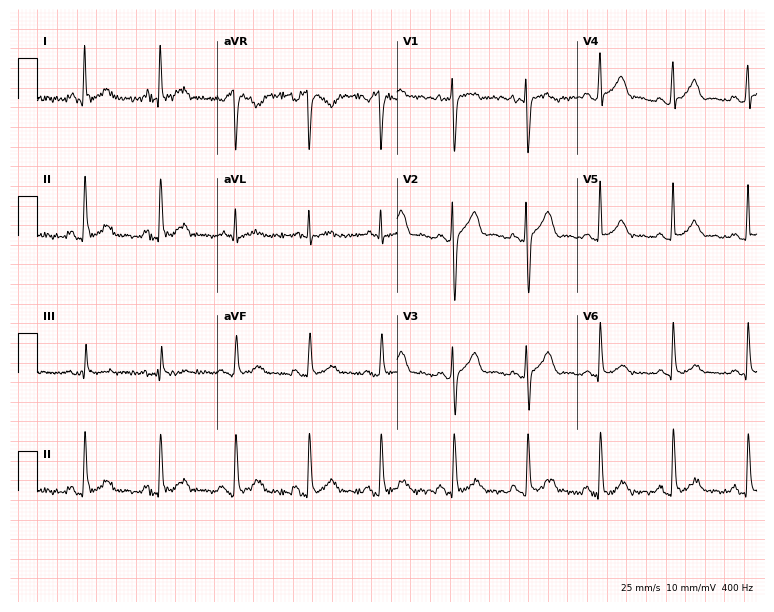
ECG (7.3-second recording at 400 Hz) — a 35-year-old man. Screened for six findings — first-degree AV block, right bundle branch block (RBBB), left bundle branch block (LBBB), sinus bradycardia, atrial fibrillation (AF), sinus tachycardia — none is recorded. Only these six findings were labelled.